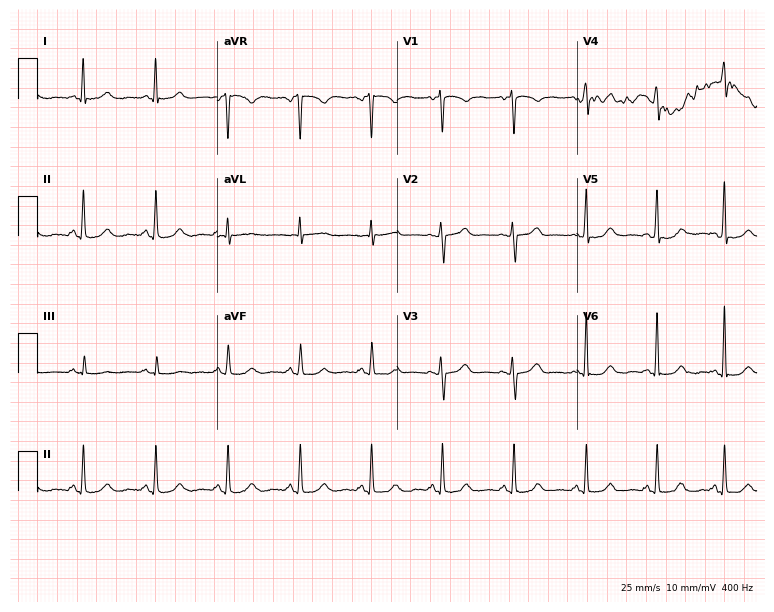
ECG — a female, 50 years old. Labelled as a normal ECG.